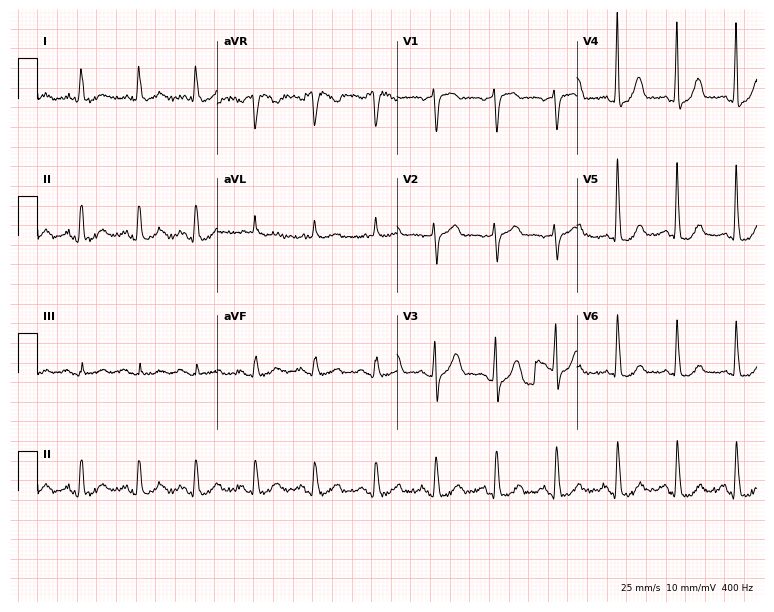
12-lead ECG (7.3-second recording at 400 Hz) from a 78-year-old female. Screened for six findings — first-degree AV block, right bundle branch block, left bundle branch block, sinus bradycardia, atrial fibrillation, sinus tachycardia — none is recorded.